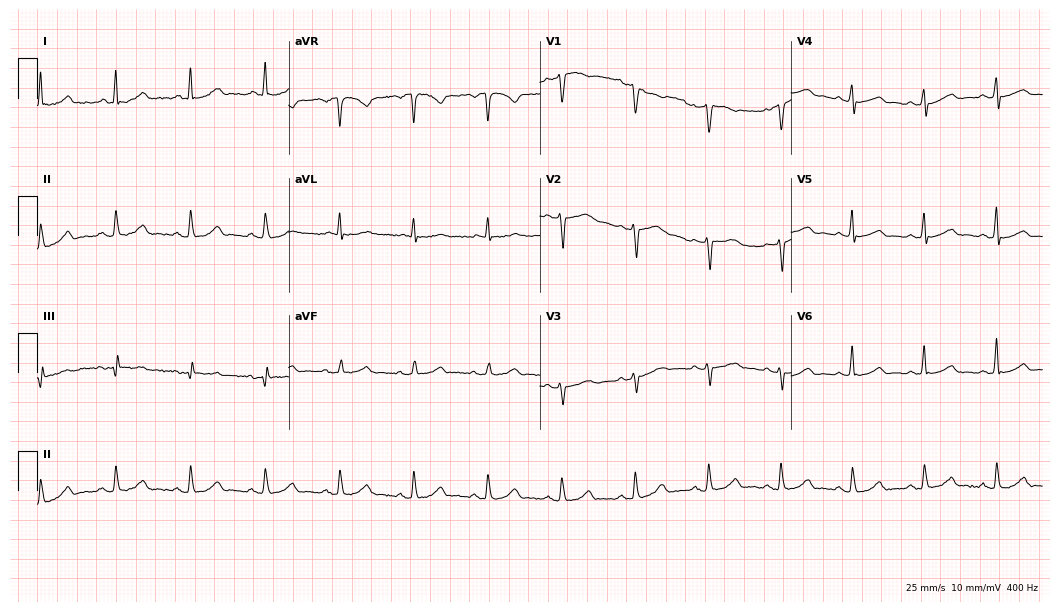
Resting 12-lead electrocardiogram (10.2-second recording at 400 Hz). Patient: a woman, 51 years old. Read as a normal ECG.